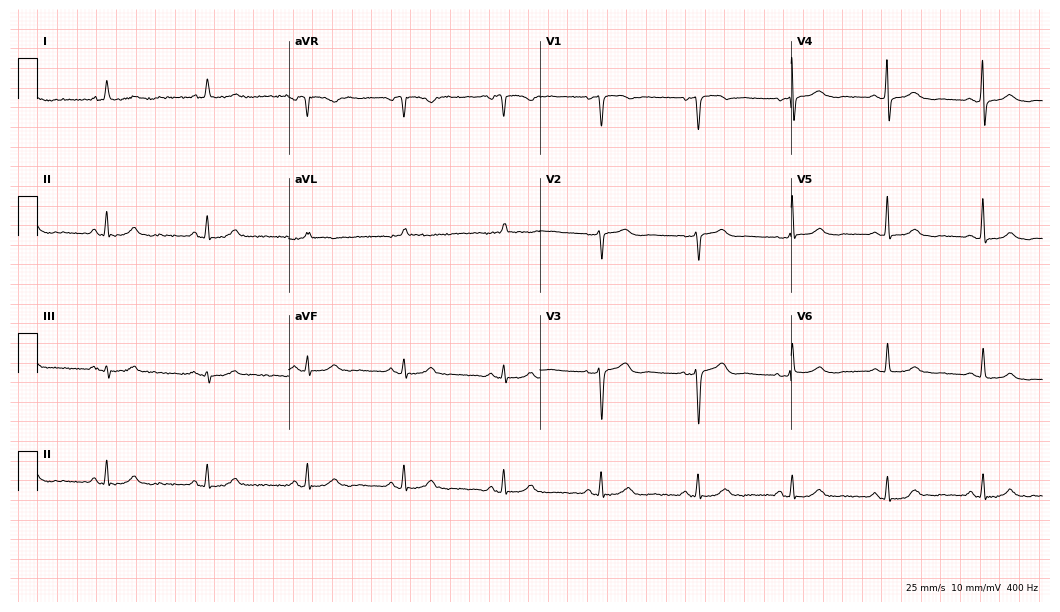
Resting 12-lead electrocardiogram. Patient: a woman, 65 years old. None of these six findings is recorded: first-degree AV block, right bundle branch block, left bundle branch block, sinus bradycardia, atrial fibrillation, sinus tachycardia. Only these six findings were labelled.